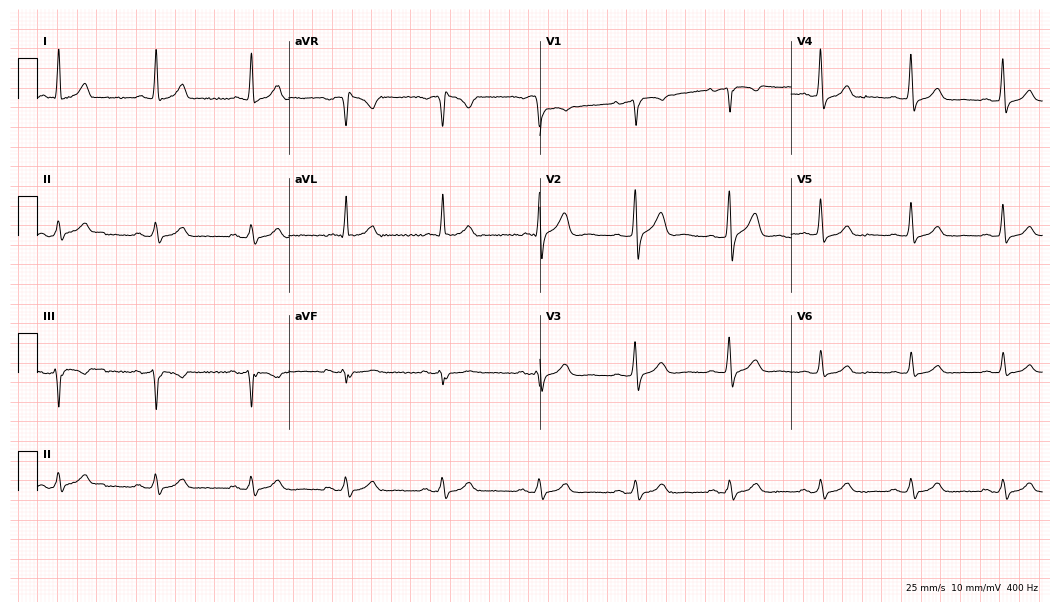
Resting 12-lead electrocardiogram (10.2-second recording at 400 Hz). Patient: a male, 41 years old. None of these six findings is recorded: first-degree AV block, right bundle branch block, left bundle branch block, sinus bradycardia, atrial fibrillation, sinus tachycardia.